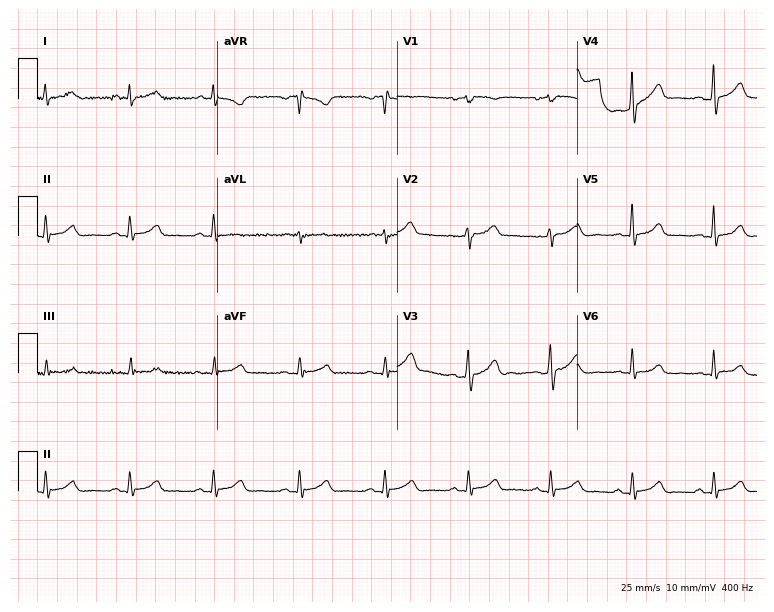
ECG (7.3-second recording at 400 Hz) — a man, 47 years old. Labelled as a normal ECG.